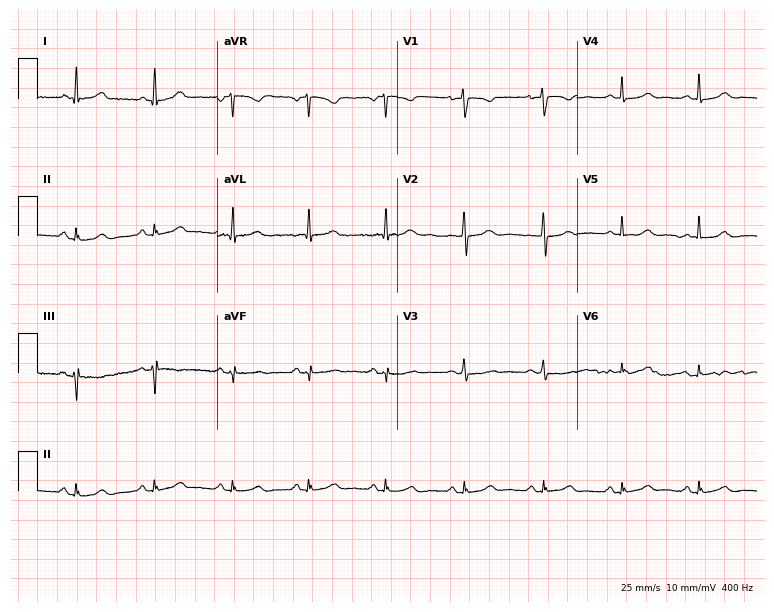
12-lead ECG (7.3-second recording at 400 Hz) from a female, 47 years old. Labelled as a normal ECG.